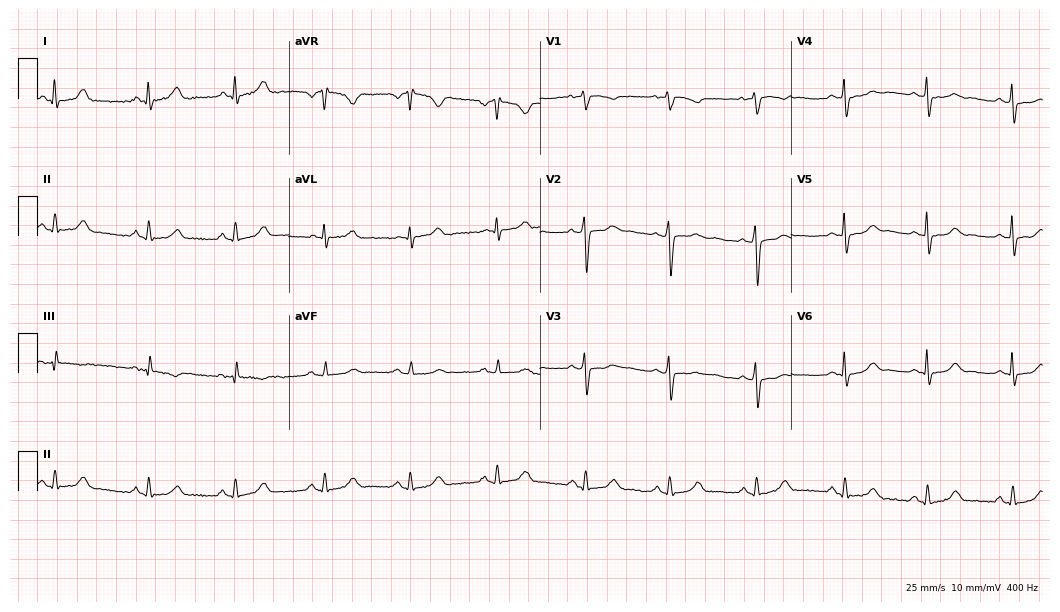
Electrocardiogram (10.2-second recording at 400 Hz), a female patient, 43 years old. Overall reading on record: normal ECG.